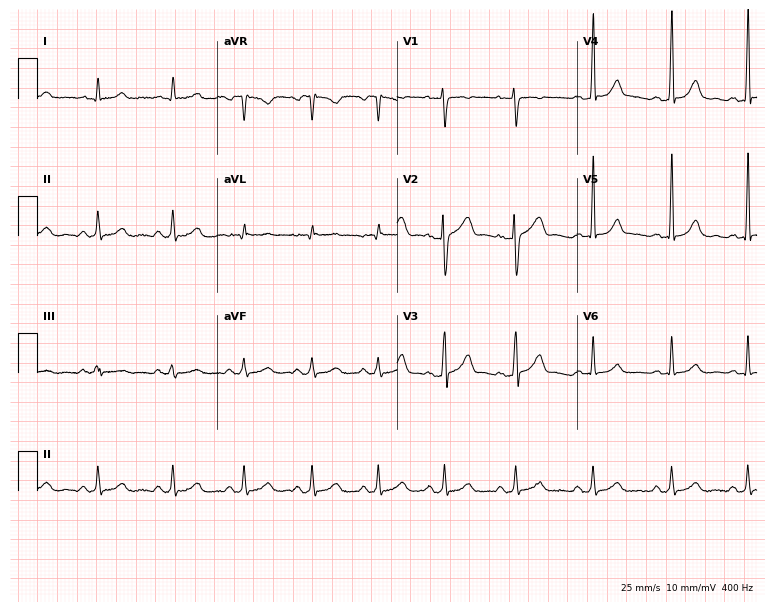
12-lead ECG (7.3-second recording at 400 Hz) from a woman, 29 years old. Screened for six findings — first-degree AV block, right bundle branch block, left bundle branch block, sinus bradycardia, atrial fibrillation, sinus tachycardia — none is recorded.